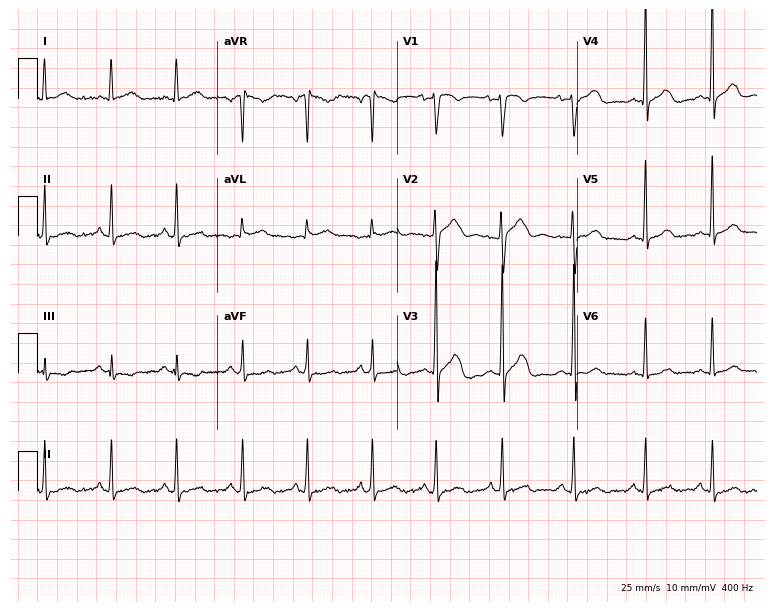
ECG (7.3-second recording at 400 Hz) — a 35-year-old woman. Screened for six findings — first-degree AV block, right bundle branch block, left bundle branch block, sinus bradycardia, atrial fibrillation, sinus tachycardia — none is recorded.